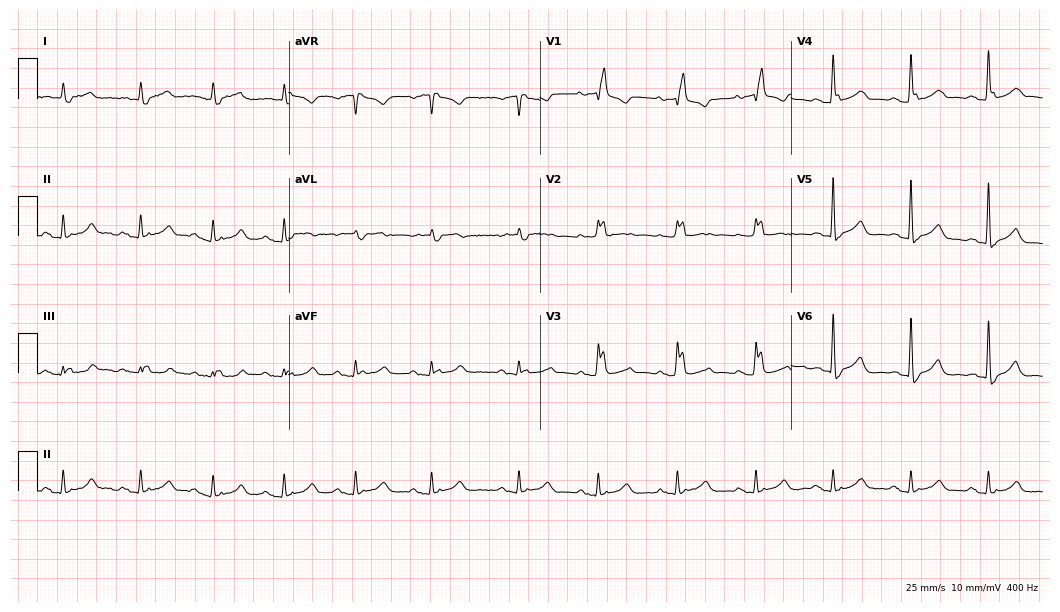
Resting 12-lead electrocardiogram. Patient: a male, 85 years old. The tracing shows right bundle branch block.